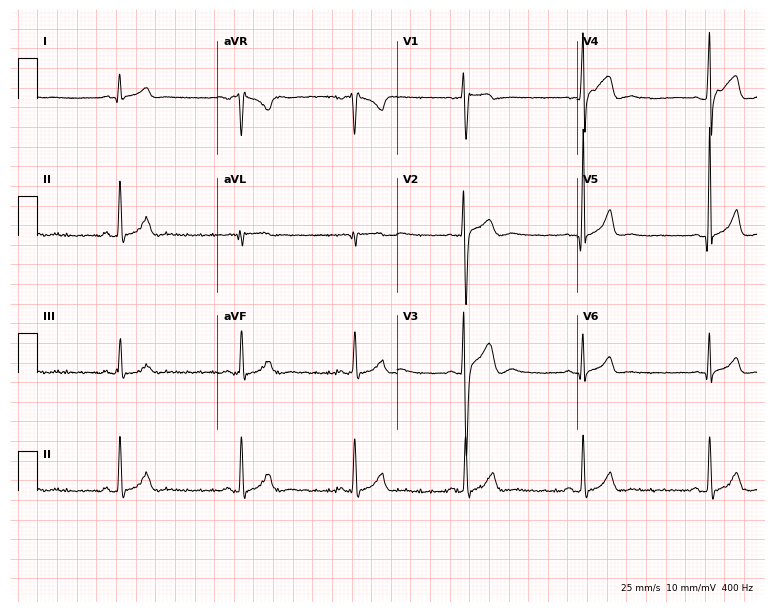
ECG — a male, 19 years old. Findings include sinus bradycardia (a sinus rate of 50 beats per minute or less).